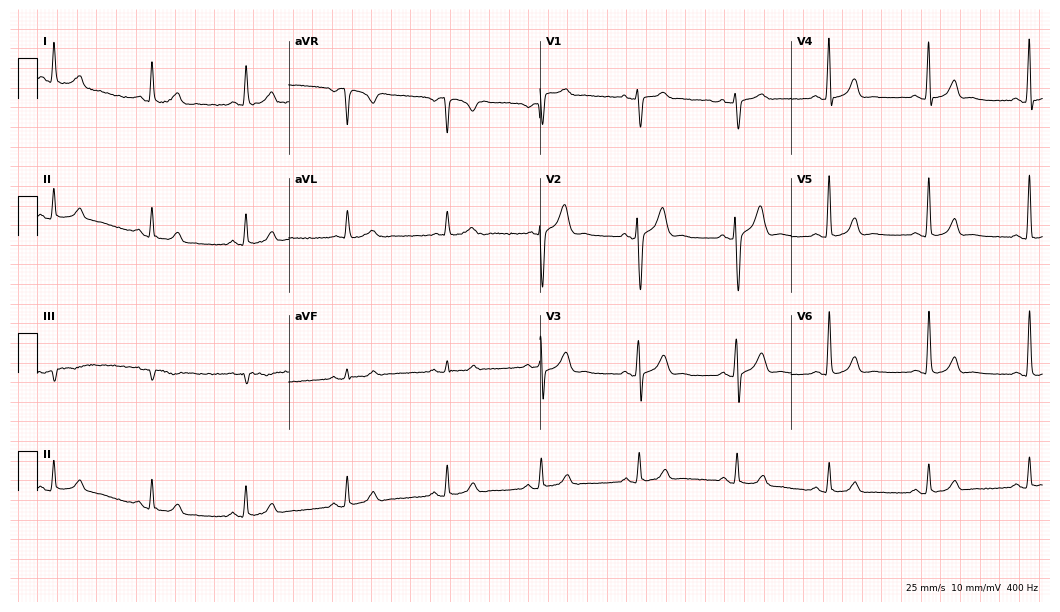
Standard 12-lead ECG recorded from a male, 32 years old (10.2-second recording at 400 Hz). Read as a normal ECG.